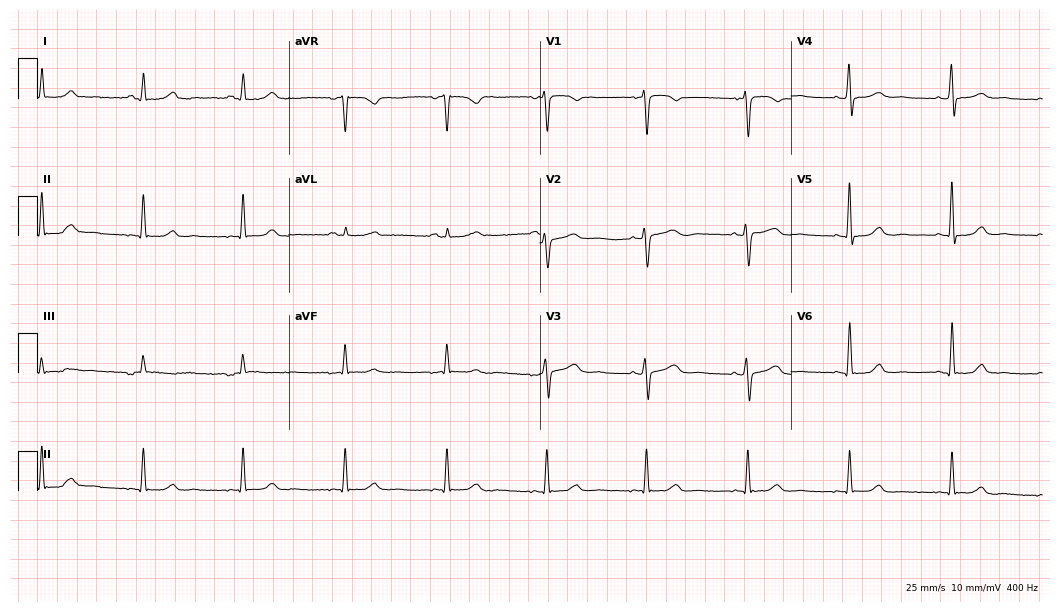
Electrocardiogram, a woman, 57 years old. Overall reading on record: normal ECG.